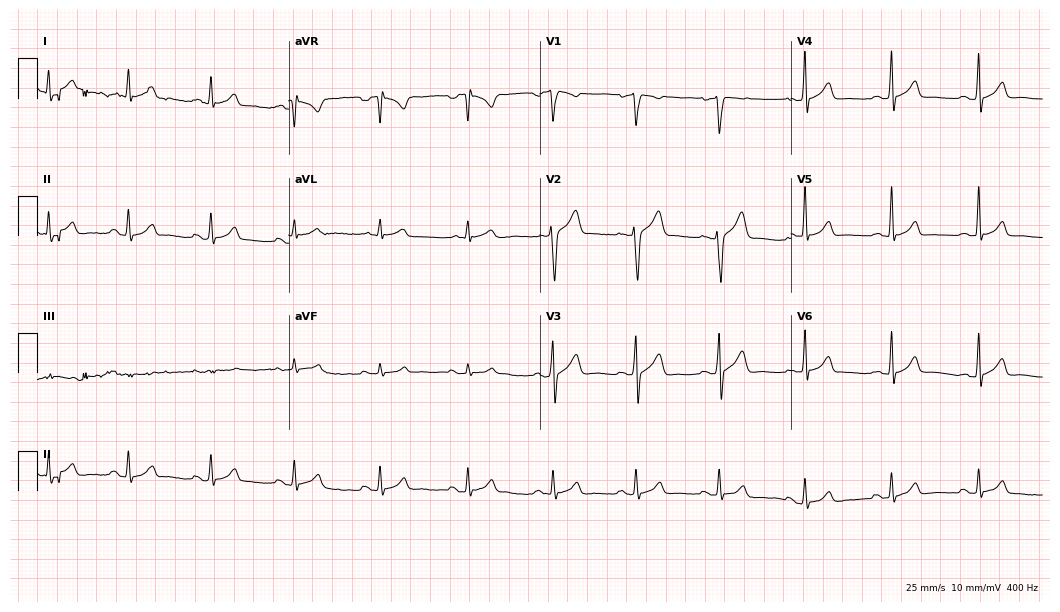
12-lead ECG from a 35-year-old male patient. Labelled as a normal ECG.